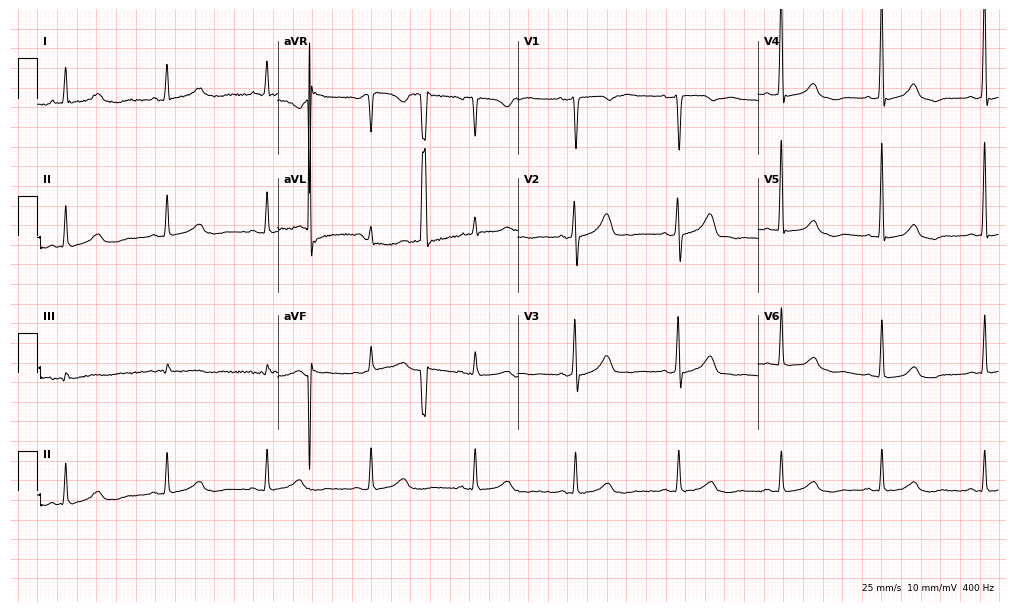
Electrocardiogram, a 69-year-old woman. Overall reading on record: normal ECG.